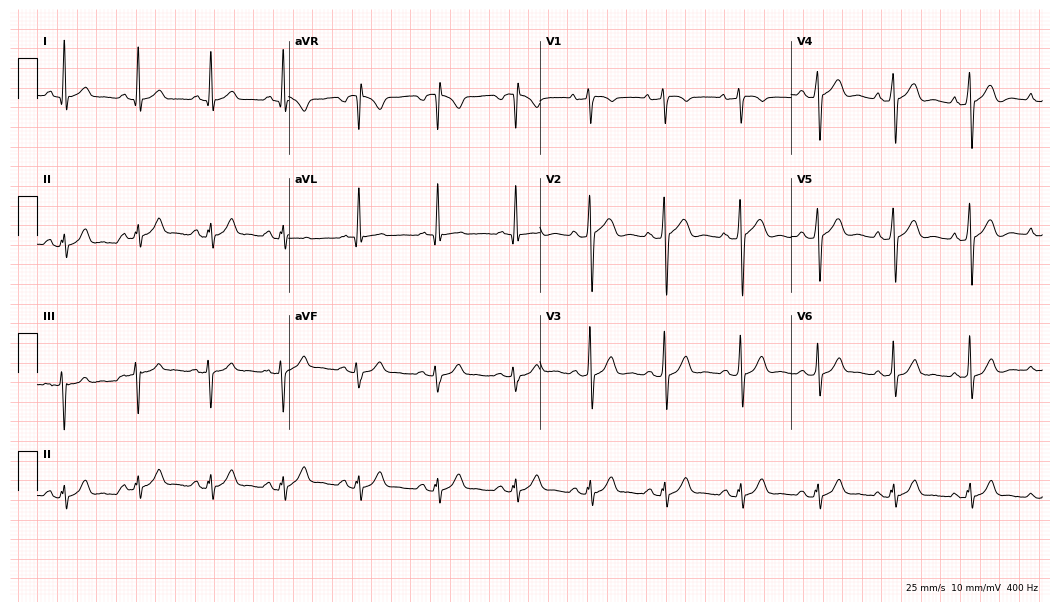
ECG — a 55-year-old male patient. Screened for six findings — first-degree AV block, right bundle branch block, left bundle branch block, sinus bradycardia, atrial fibrillation, sinus tachycardia — none is recorded.